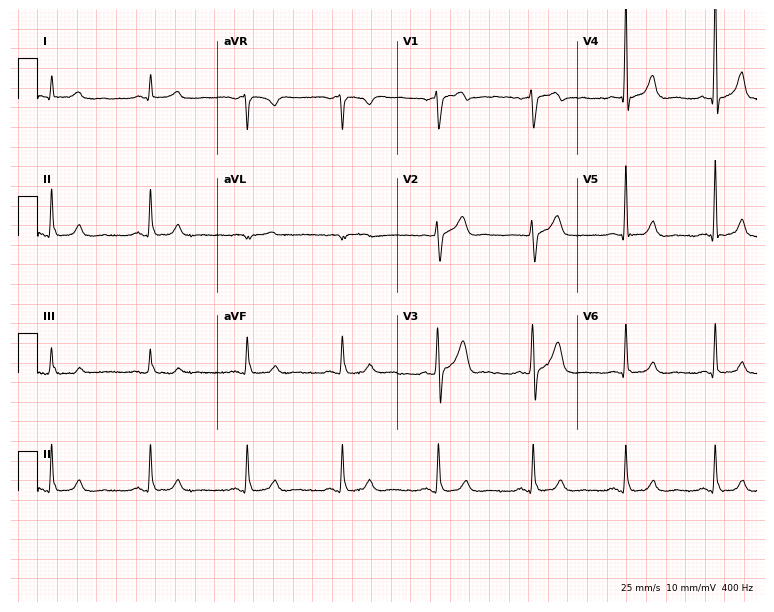
Electrocardiogram, a 52-year-old male. Overall reading on record: normal ECG.